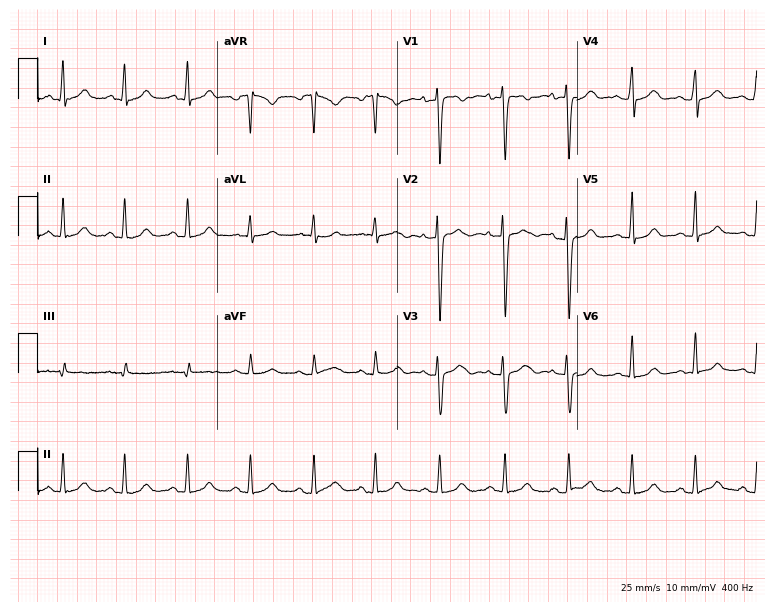
Standard 12-lead ECG recorded from a woman, 31 years old. None of these six findings is recorded: first-degree AV block, right bundle branch block (RBBB), left bundle branch block (LBBB), sinus bradycardia, atrial fibrillation (AF), sinus tachycardia. Findings outside these six are not listed.